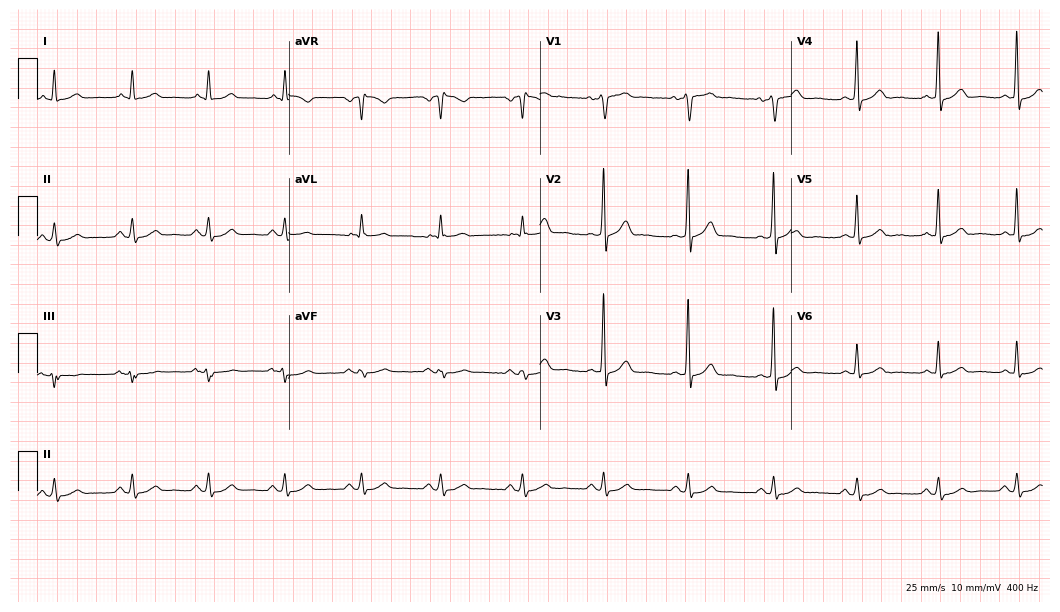
Standard 12-lead ECG recorded from a 59-year-old man (10.2-second recording at 400 Hz). Read as a normal ECG.